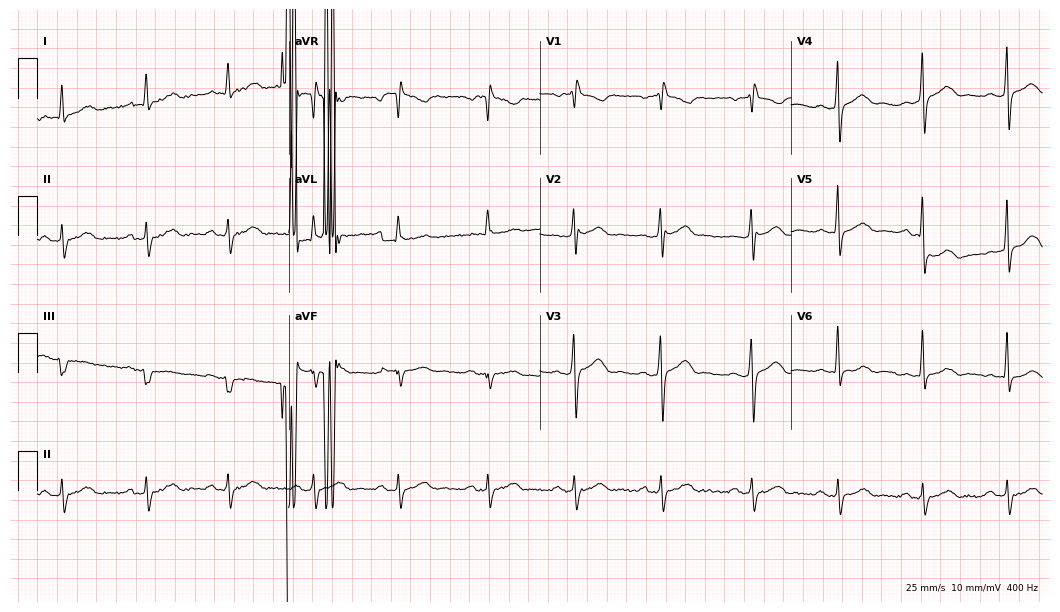
ECG (10.2-second recording at 400 Hz) — a man, 60 years old. Screened for six findings — first-degree AV block, right bundle branch block (RBBB), left bundle branch block (LBBB), sinus bradycardia, atrial fibrillation (AF), sinus tachycardia — none is recorded.